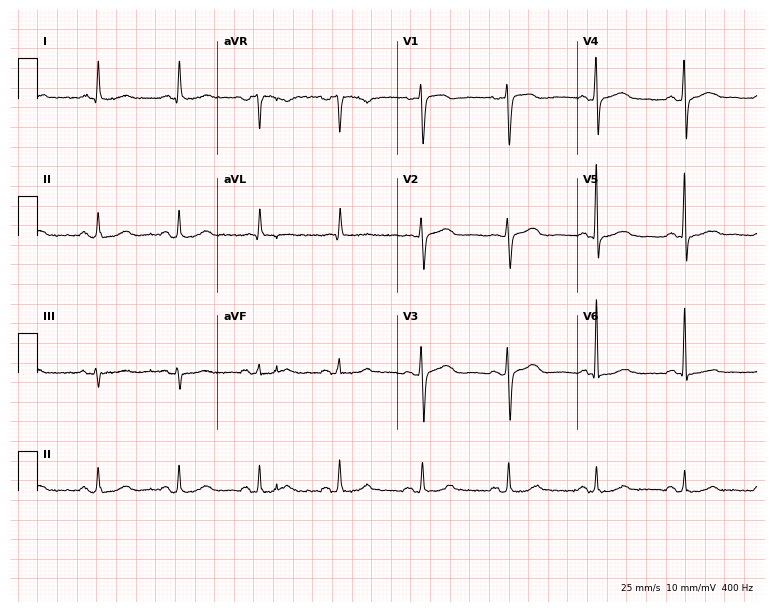
12-lead ECG (7.3-second recording at 400 Hz) from a 66-year-old female. Screened for six findings — first-degree AV block, right bundle branch block (RBBB), left bundle branch block (LBBB), sinus bradycardia, atrial fibrillation (AF), sinus tachycardia — none is recorded. Other findings, if any, are not listed.